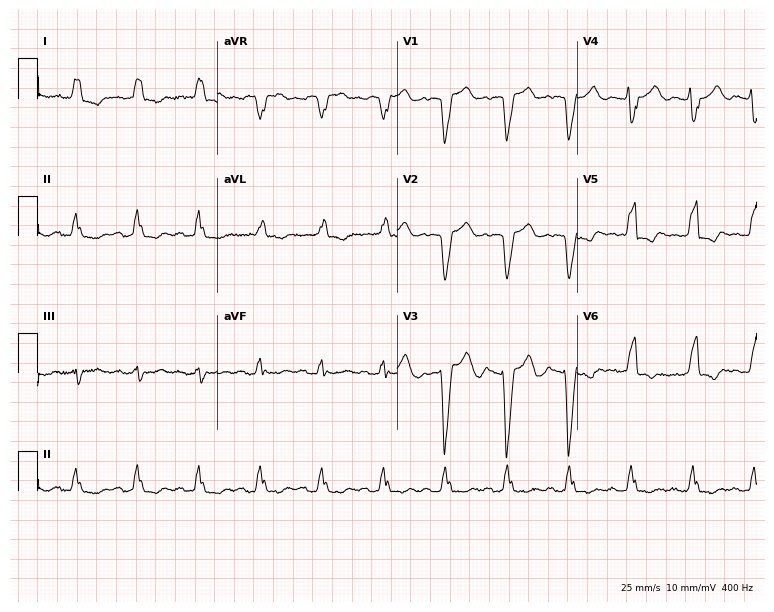
Resting 12-lead electrocardiogram. Patient: a woman, 82 years old. The tracing shows left bundle branch block.